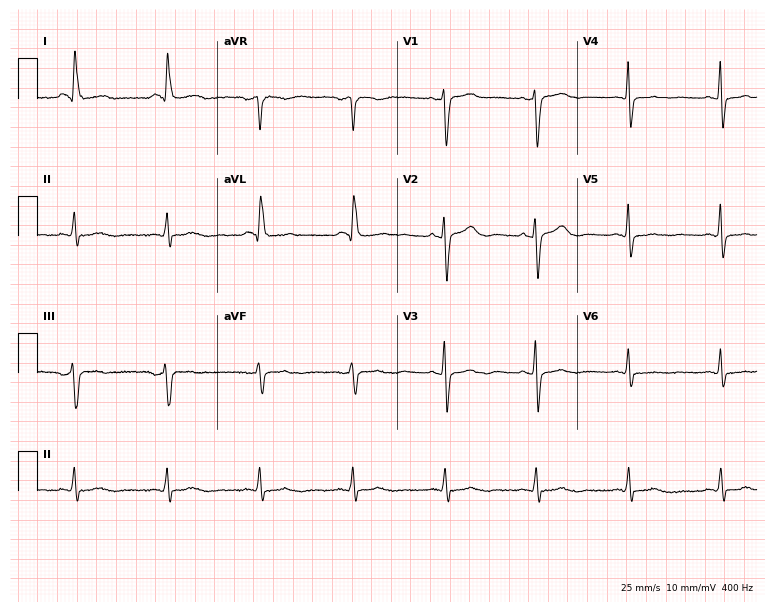
ECG (7.3-second recording at 400 Hz) — a female, 77 years old. Screened for six findings — first-degree AV block, right bundle branch block, left bundle branch block, sinus bradycardia, atrial fibrillation, sinus tachycardia — none is recorded.